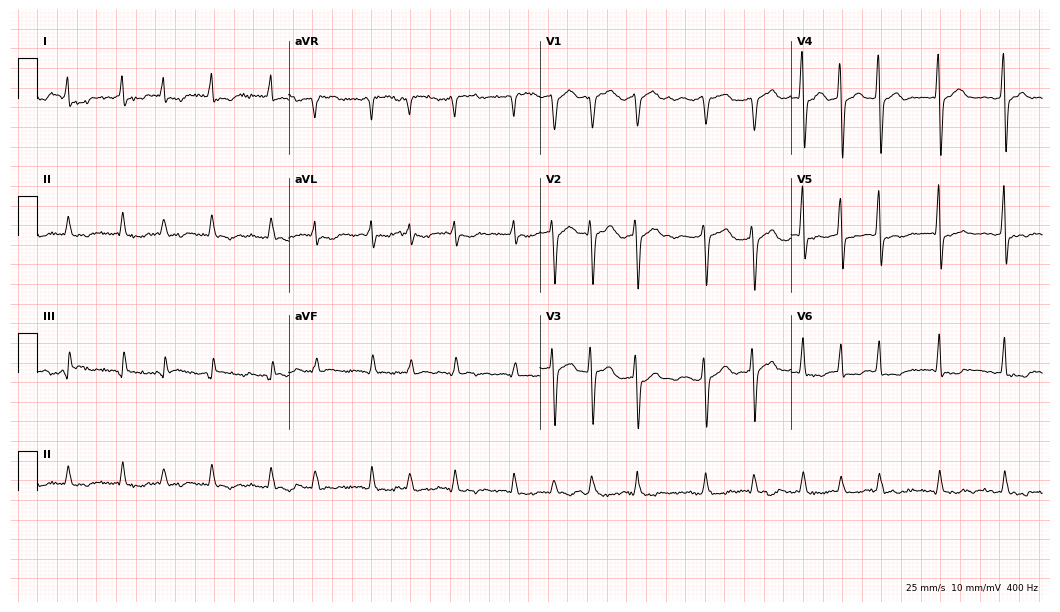
12-lead ECG from a 52-year-old woman. Shows atrial fibrillation.